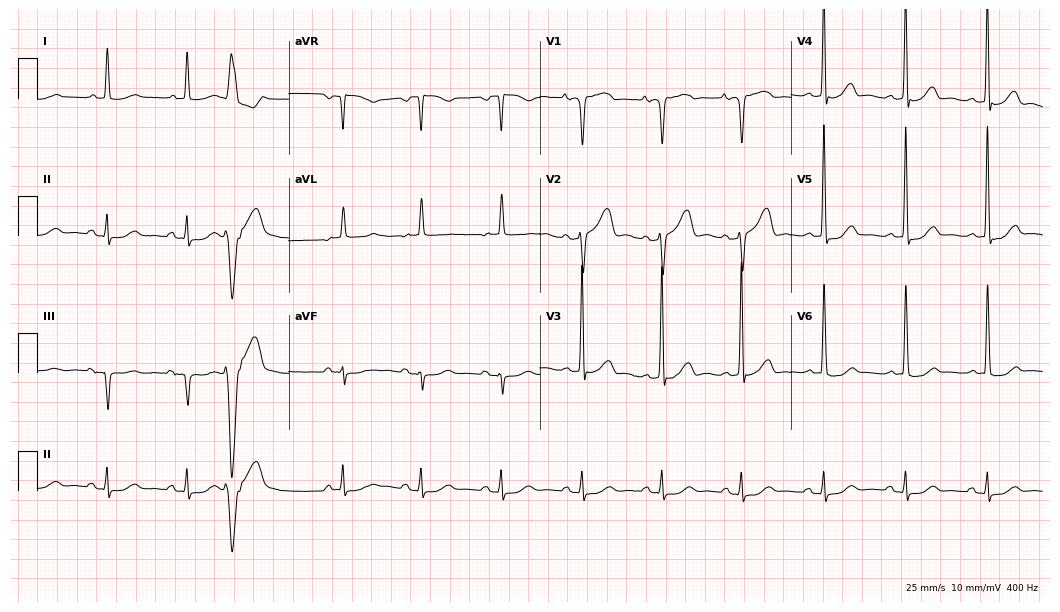
Standard 12-lead ECG recorded from a woman, 78 years old (10.2-second recording at 400 Hz). None of these six findings is recorded: first-degree AV block, right bundle branch block (RBBB), left bundle branch block (LBBB), sinus bradycardia, atrial fibrillation (AF), sinus tachycardia.